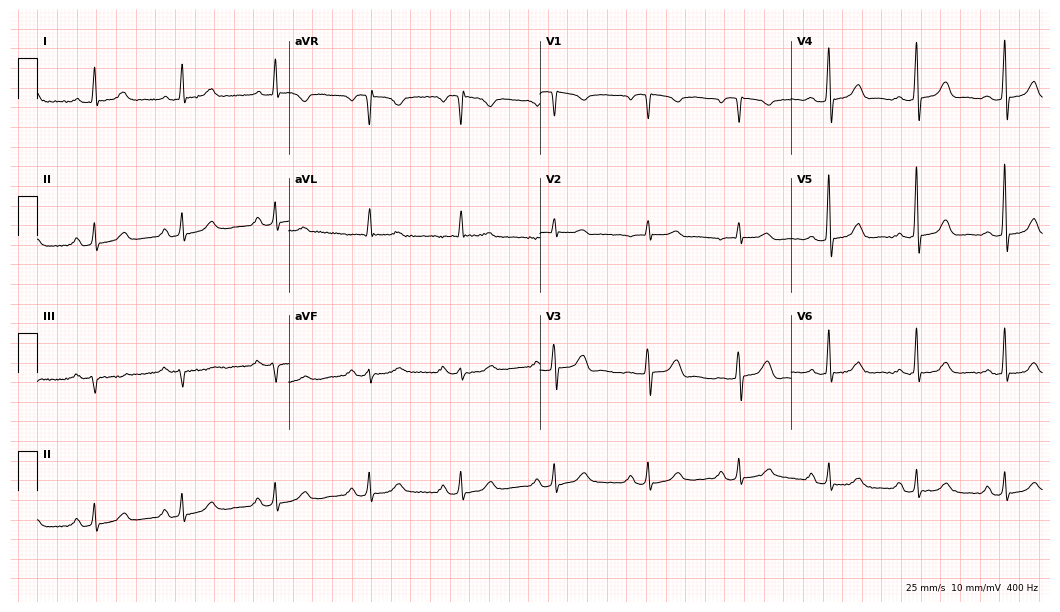
ECG — a 60-year-old woman. Labelled as a normal ECG.